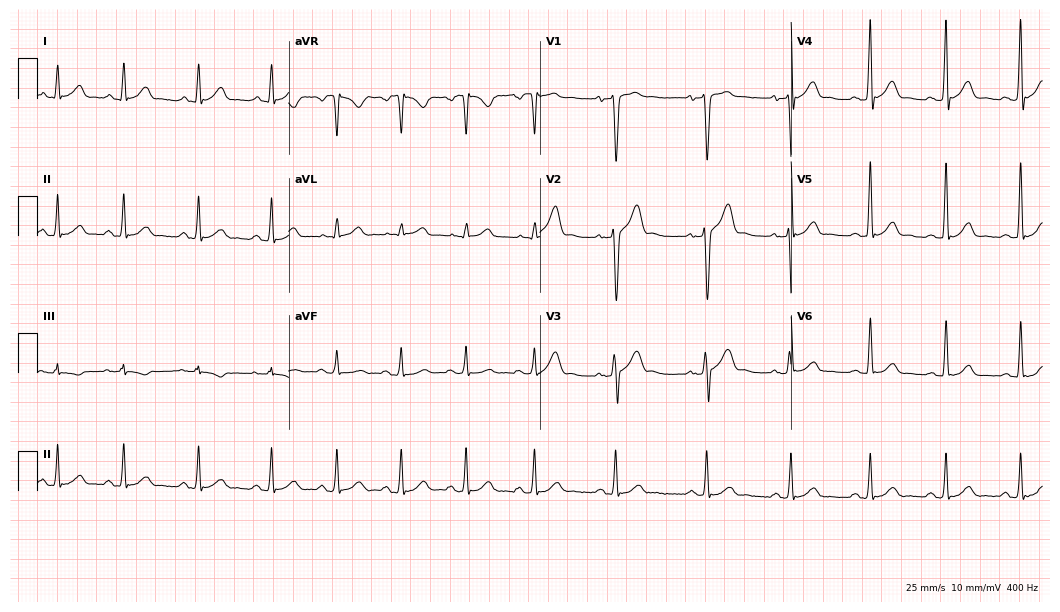
ECG — a male patient, 39 years old. Labelled as a normal ECG.